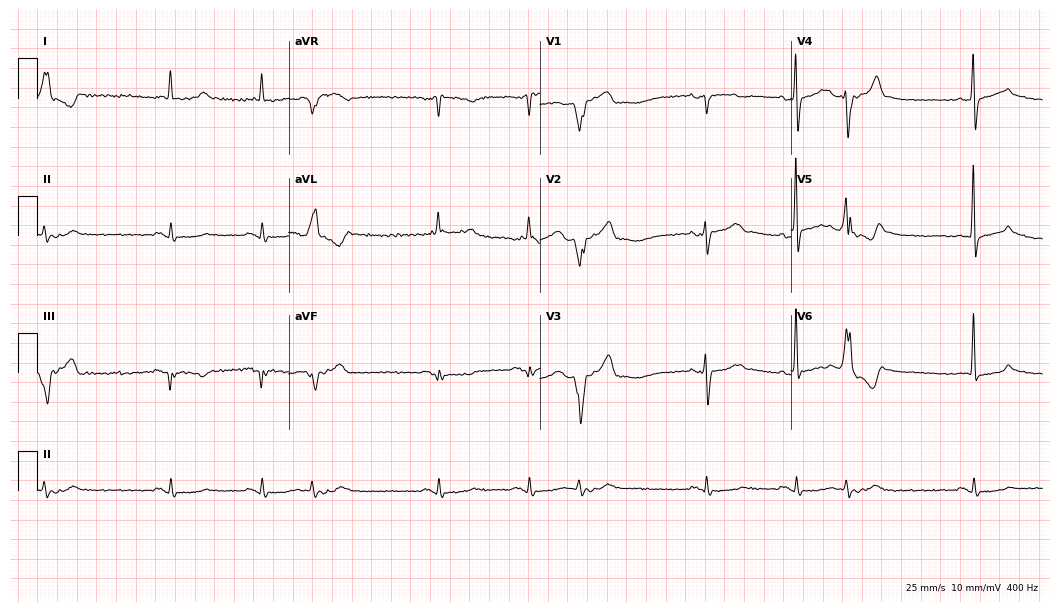
Resting 12-lead electrocardiogram (10.2-second recording at 400 Hz). Patient: a male, 63 years old. Read as a normal ECG.